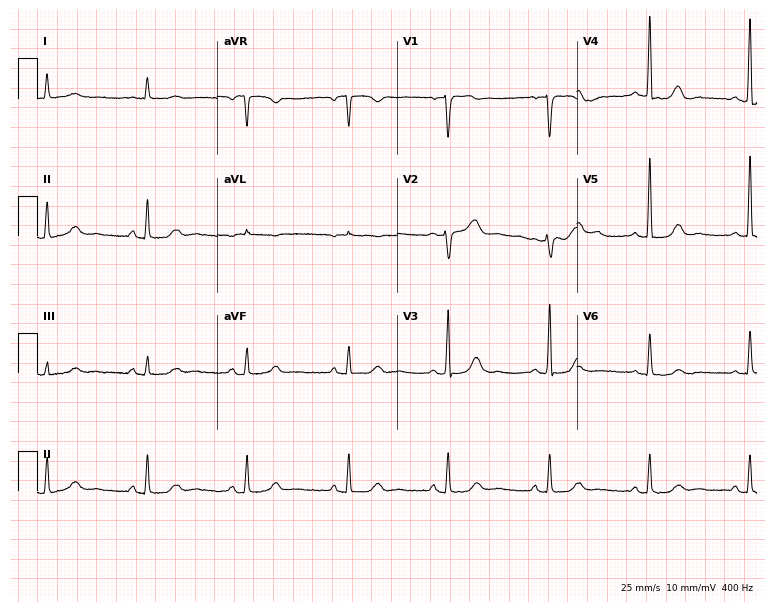
Resting 12-lead electrocardiogram (7.3-second recording at 400 Hz). Patient: a 61-year-old female. Read as a normal ECG.